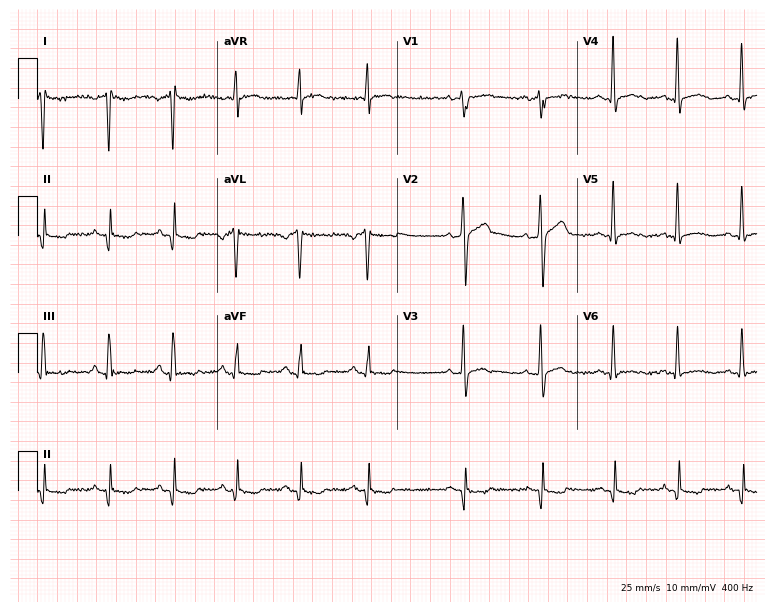
ECG (7.3-second recording at 400 Hz) — a 34-year-old male. Screened for six findings — first-degree AV block, right bundle branch block, left bundle branch block, sinus bradycardia, atrial fibrillation, sinus tachycardia — none is recorded.